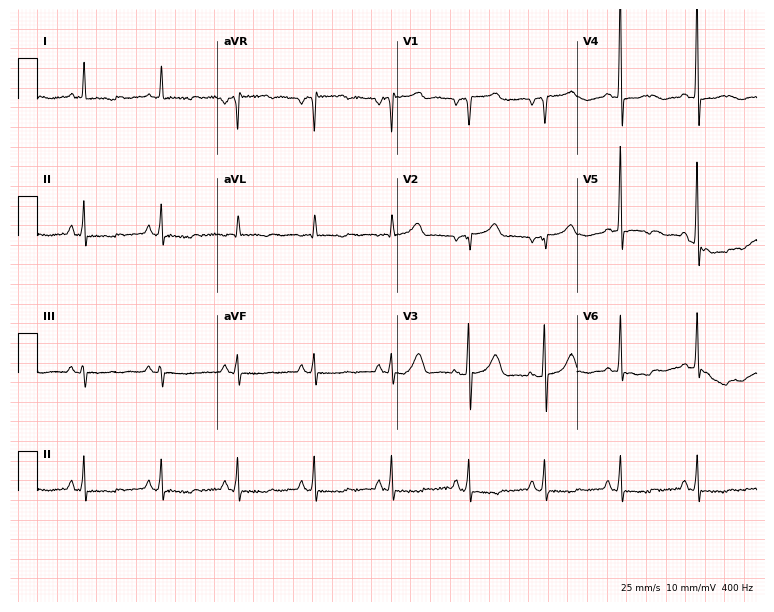
Electrocardiogram, a 75-year-old man. Of the six screened findings (first-degree AV block, right bundle branch block, left bundle branch block, sinus bradycardia, atrial fibrillation, sinus tachycardia), none is recorded. Only these six findings were labelled.